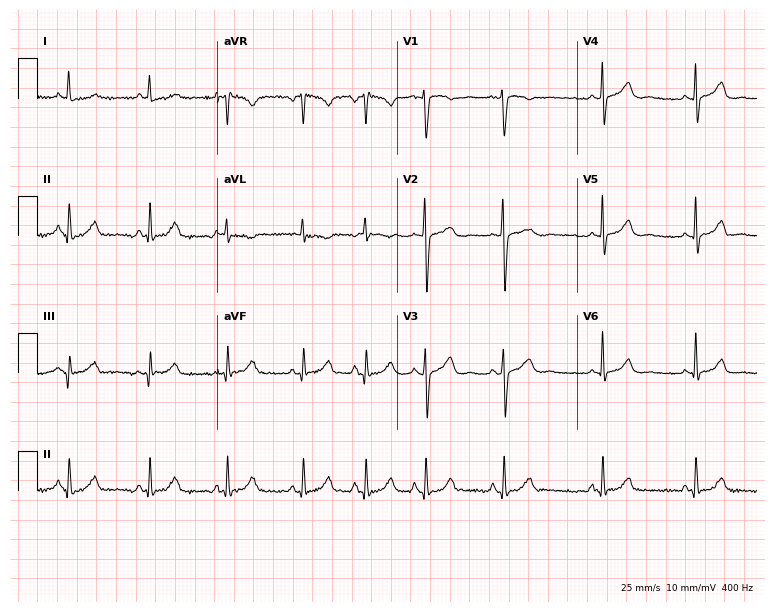
Resting 12-lead electrocardiogram. Patient: a woman, 36 years old. None of these six findings is recorded: first-degree AV block, right bundle branch block (RBBB), left bundle branch block (LBBB), sinus bradycardia, atrial fibrillation (AF), sinus tachycardia.